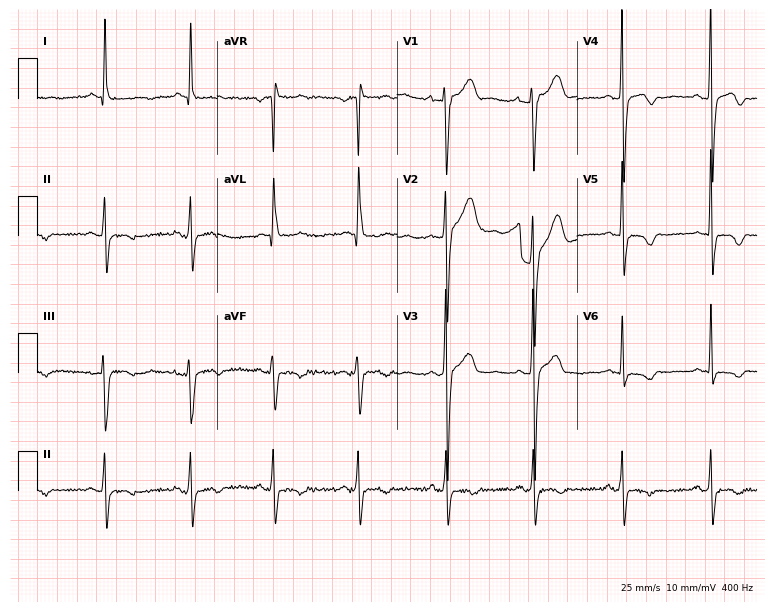
Electrocardiogram, a 46-year-old male. Overall reading on record: normal ECG.